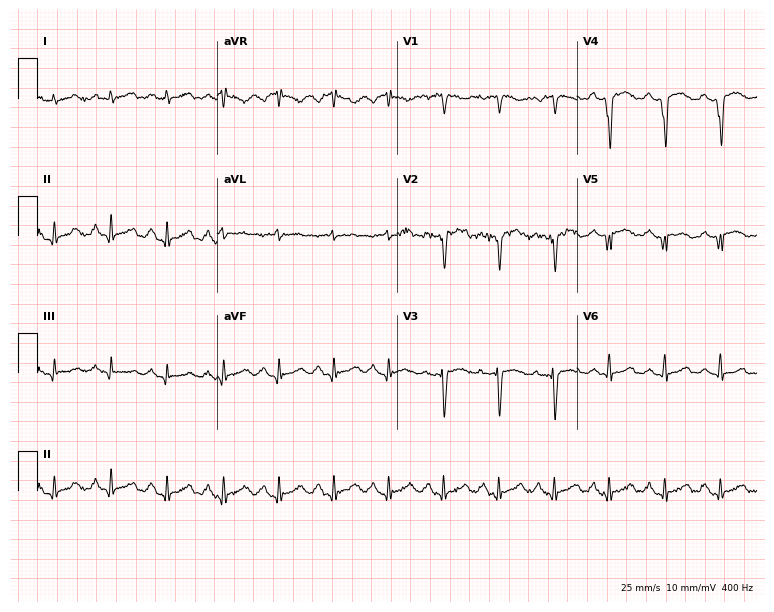
Standard 12-lead ECG recorded from a man, 63 years old. None of these six findings is recorded: first-degree AV block, right bundle branch block (RBBB), left bundle branch block (LBBB), sinus bradycardia, atrial fibrillation (AF), sinus tachycardia.